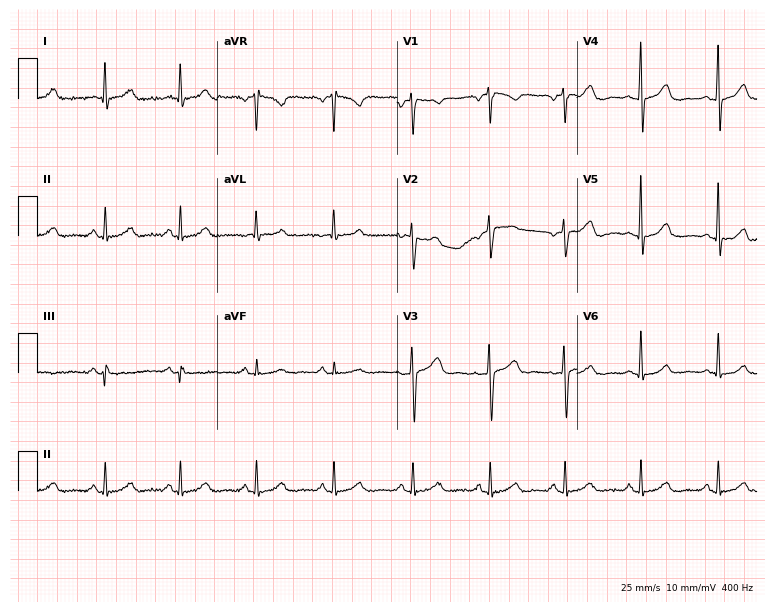
12-lead ECG from a woman, 60 years old (7.3-second recording at 400 Hz). Recorded interpretation: within normal limits.